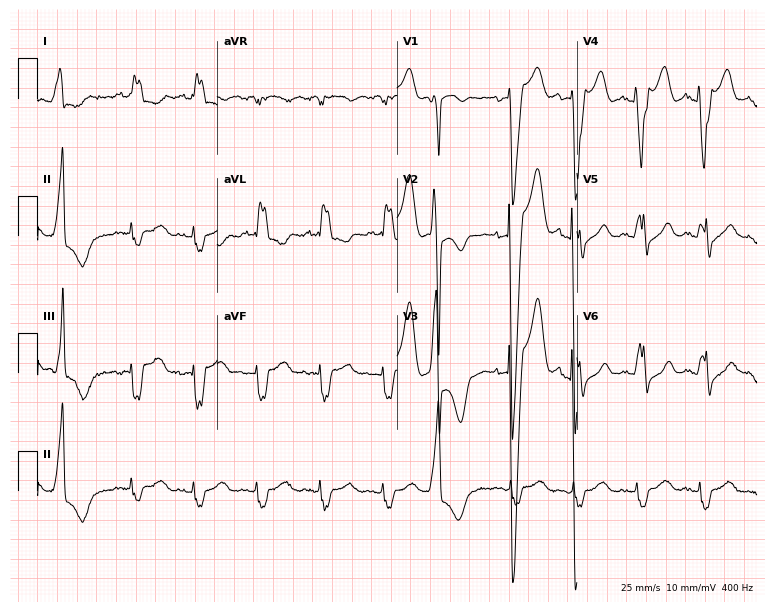
12-lead ECG from an 82-year-old male patient. Shows left bundle branch block (LBBB).